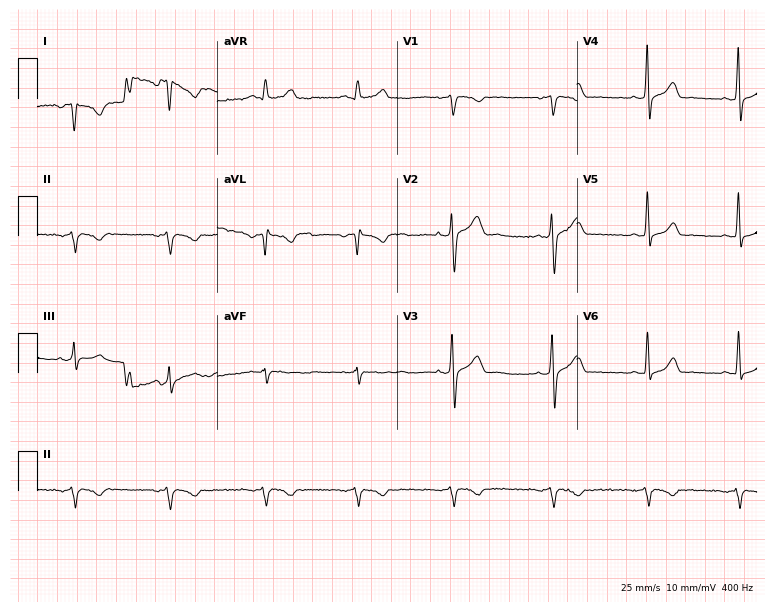
12-lead ECG from a 36-year-old male (7.3-second recording at 400 Hz). No first-degree AV block, right bundle branch block, left bundle branch block, sinus bradycardia, atrial fibrillation or sinus tachycardia recorded for this tracing. Other findings, if any, are not listed.